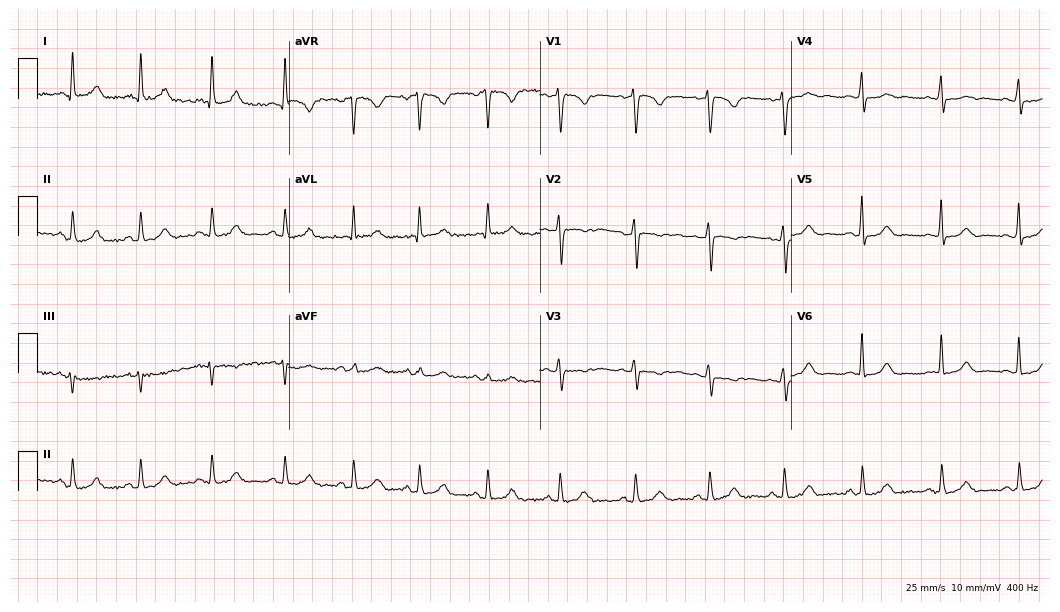
Electrocardiogram, a woman, 40 years old. Overall reading on record: normal ECG.